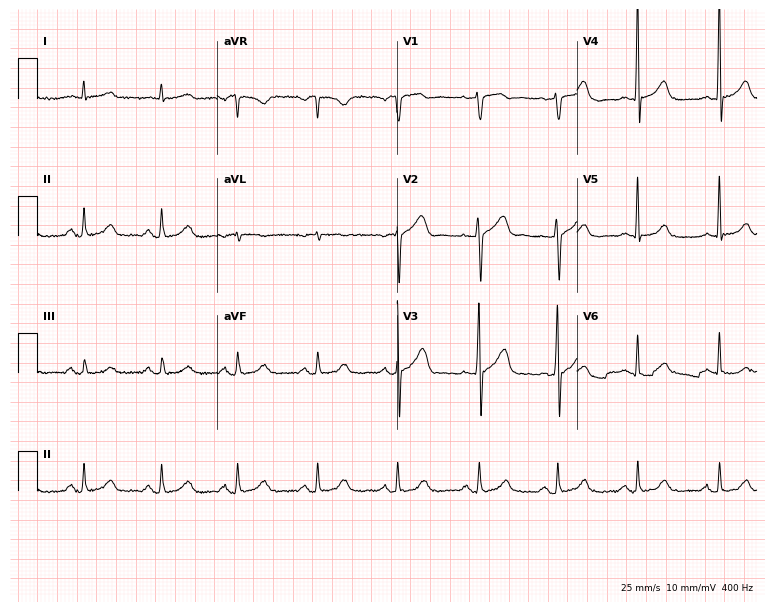
Standard 12-lead ECG recorded from a 68-year-old male patient. Read as a normal ECG.